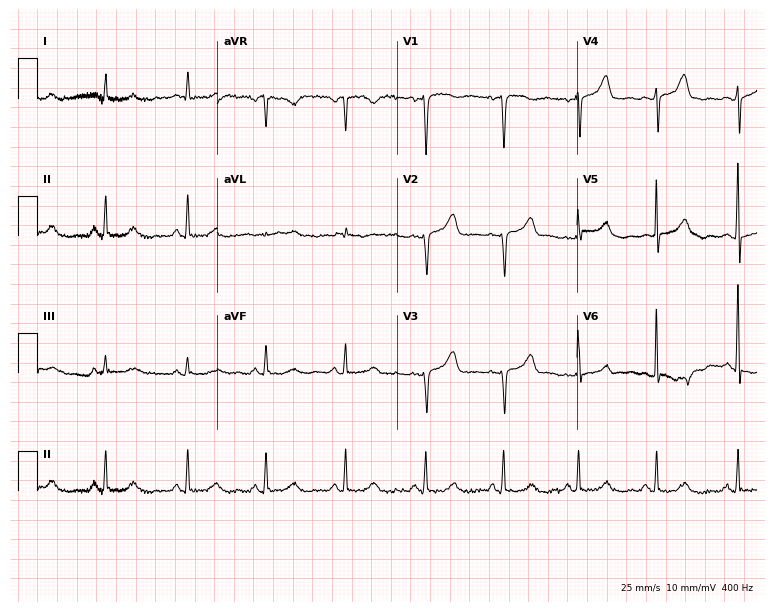
12-lead ECG from a 48-year-old woman. No first-degree AV block, right bundle branch block (RBBB), left bundle branch block (LBBB), sinus bradycardia, atrial fibrillation (AF) or sinus tachycardia recorded for this tracing.